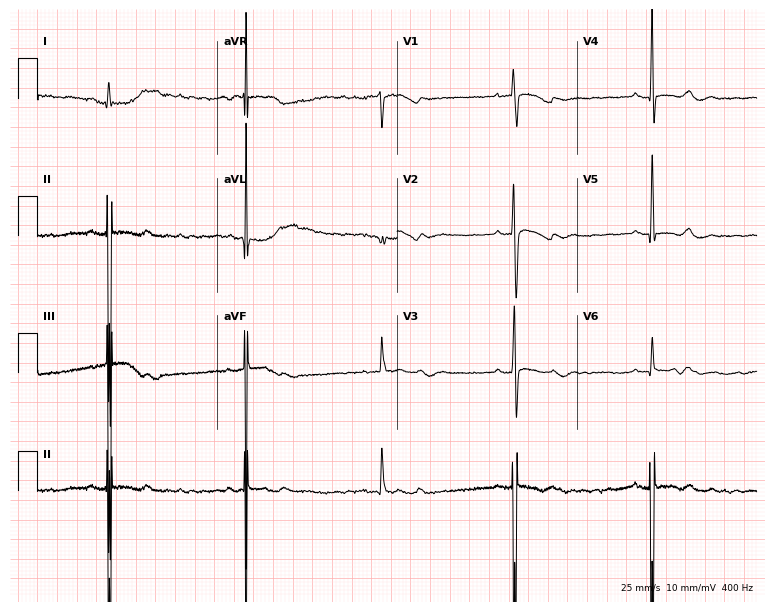
ECG (7.3-second recording at 400 Hz) — a 54-year-old woman. Screened for six findings — first-degree AV block, right bundle branch block, left bundle branch block, sinus bradycardia, atrial fibrillation, sinus tachycardia — none is recorded.